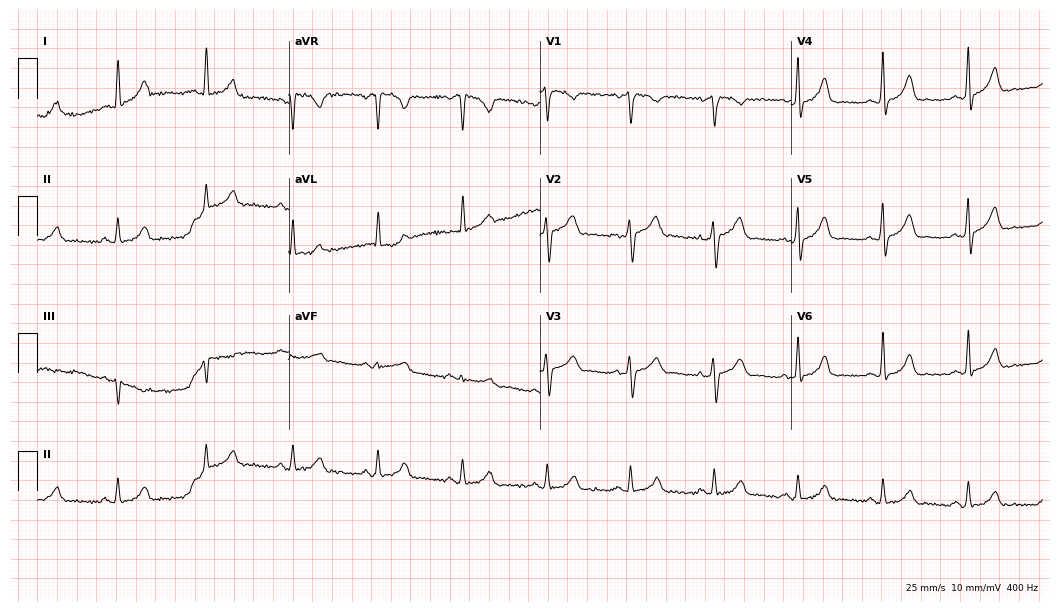
12-lead ECG (10.2-second recording at 400 Hz) from a male, 57 years old. Labelled as a normal ECG.